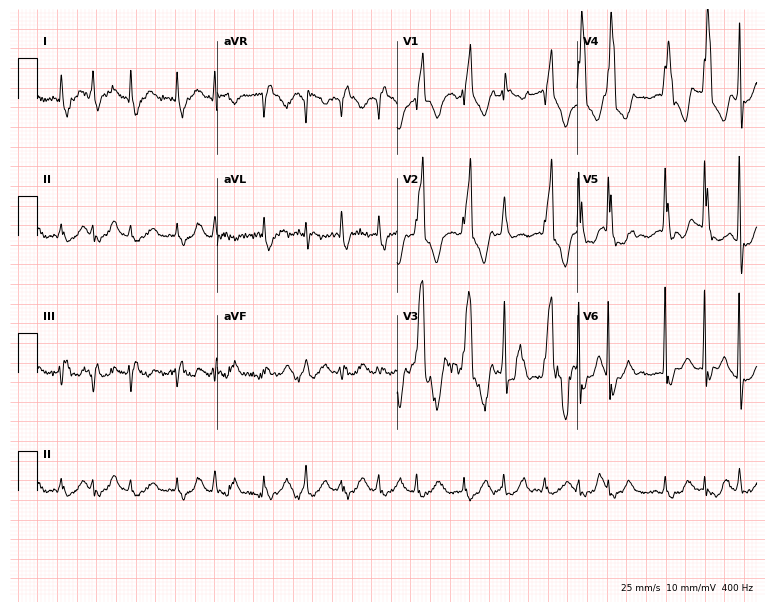
12-lead ECG from a female, 62 years old. No first-degree AV block, right bundle branch block, left bundle branch block, sinus bradycardia, atrial fibrillation or sinus tachycardia recorded for this tracing. Other findings, if any, are not listed.